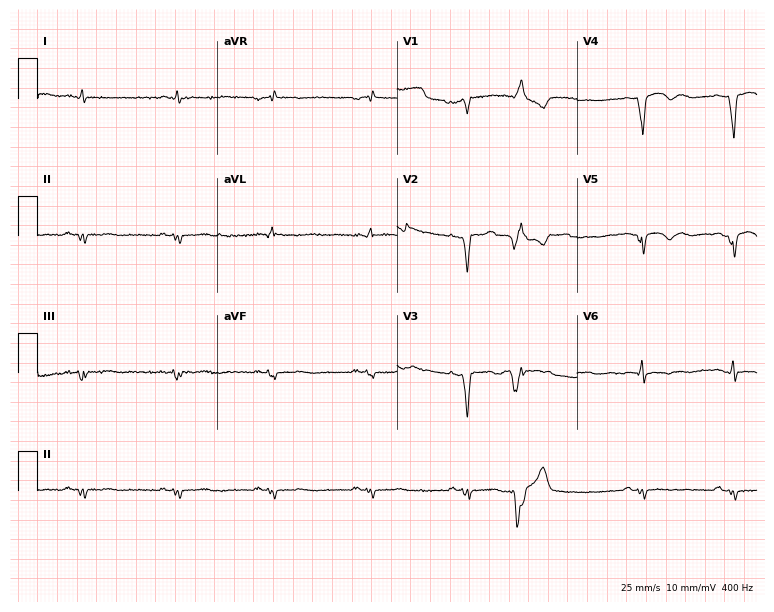
ECG — a 62-year-old male patient. Screened for six findings — first-degree AV block, right bundle branch block (RBBB), left bundle branch block (LBBB), sinus bradycardia, atrial fibrillation (AF), sinus tachycardia — none is recorded. Findings outside these six are not listed.